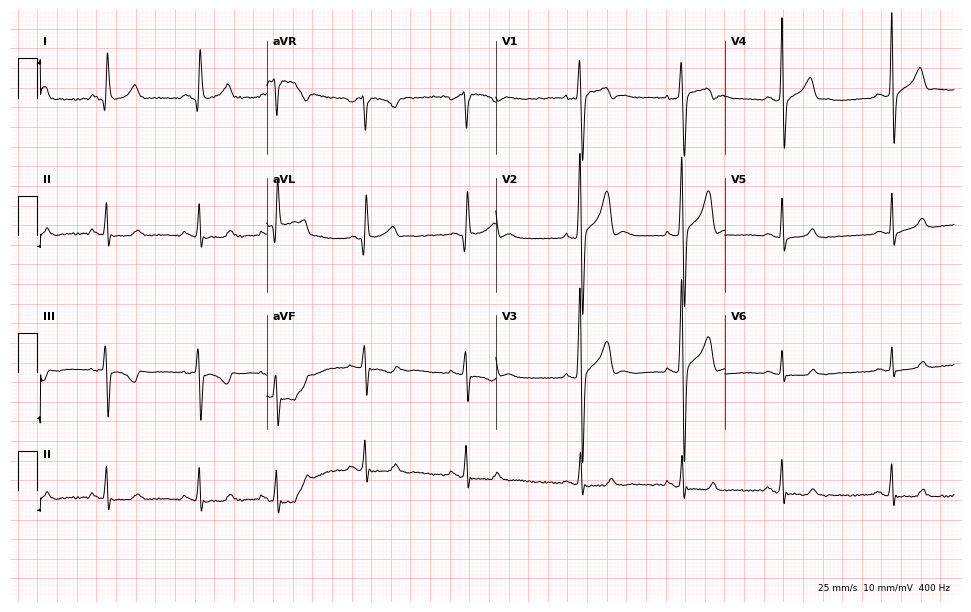
Electrocardiogram, a woman, 24 years old. Overall reading on record: normal ECG.